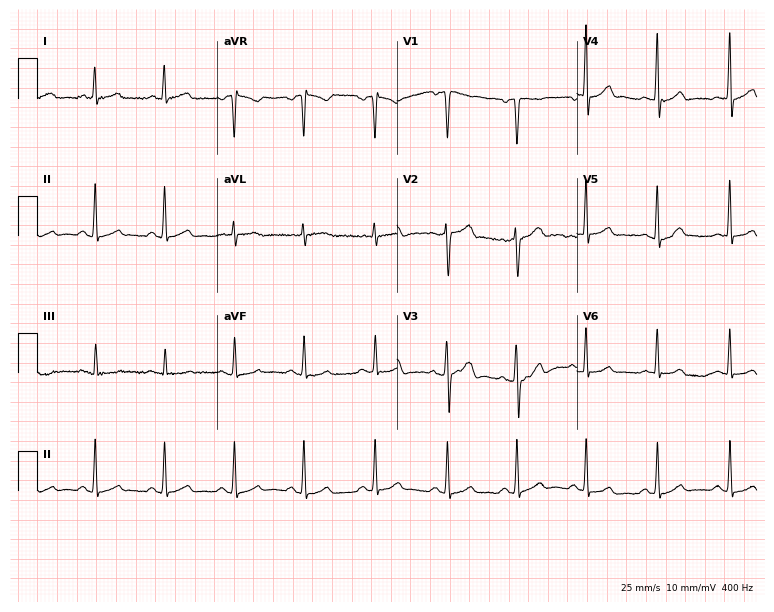
ECG — a man, 52 years old. Labelled as a normal ECG.